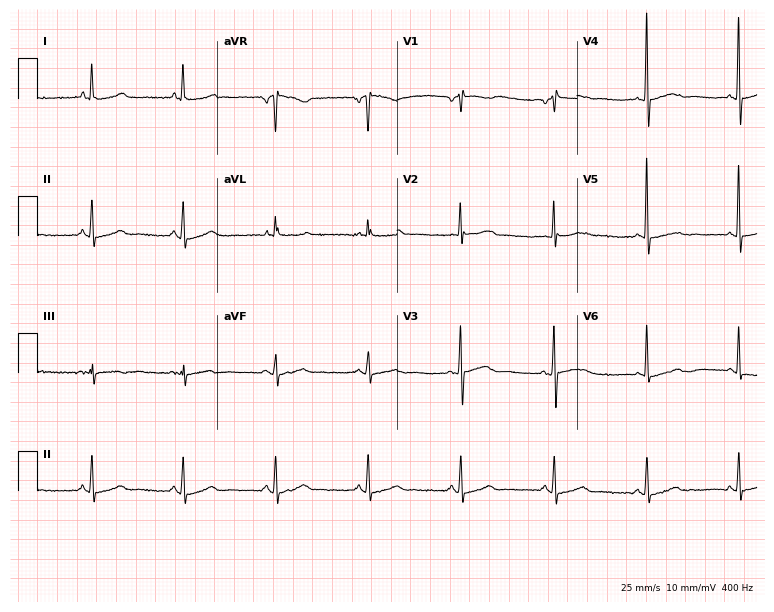
Electrocardiogram, an 83-year-old woman. Of the six screened findings (first-degree AV block, right bundle branch block (RBBB), left bundle branch block (LBBB), sinus bradycardia, atrial fibrillation (AF), sinus tachycardia), none is recorded.